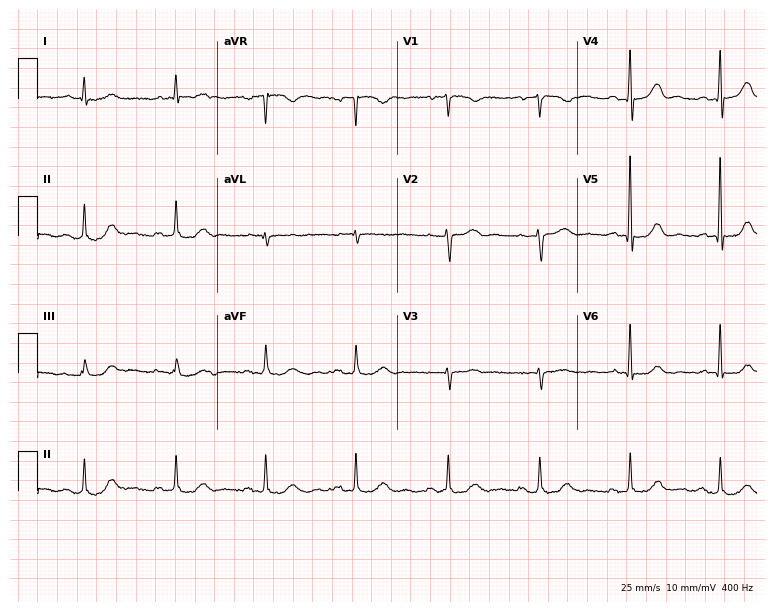
Electrocardiogram, a 77-year-old woman. Overall reading on record: normal ECG.